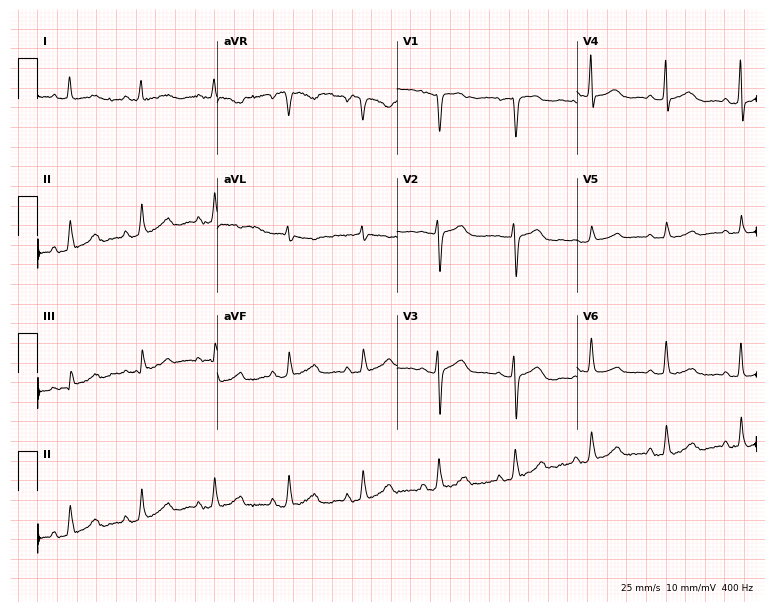
12-lead ECG from a female patient, 82 years old. Screened for six findings — first-degree AV block, right bundle branch block, left bundle branch block, sinus bradycardia, atrial fibrillation, sinus tachycardia — none is recorded.